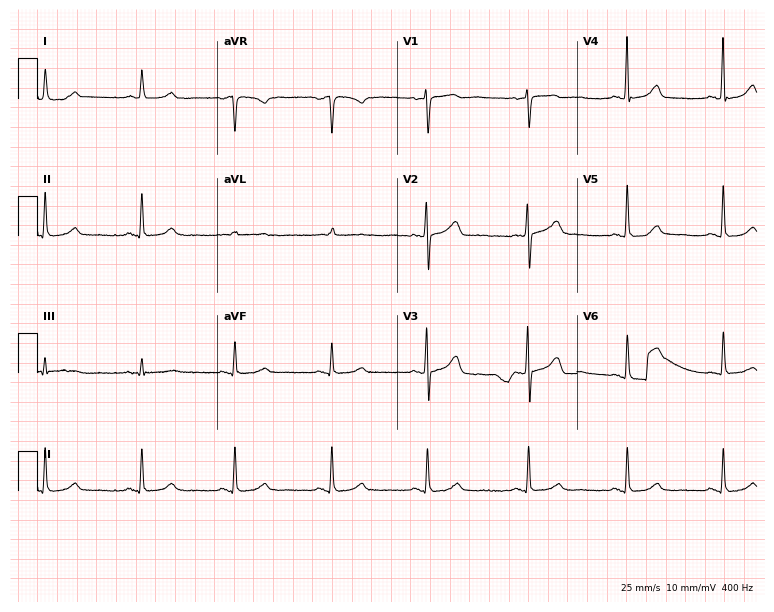
ECG — a 70-year-old female patient. Labelled as a normal ECG.